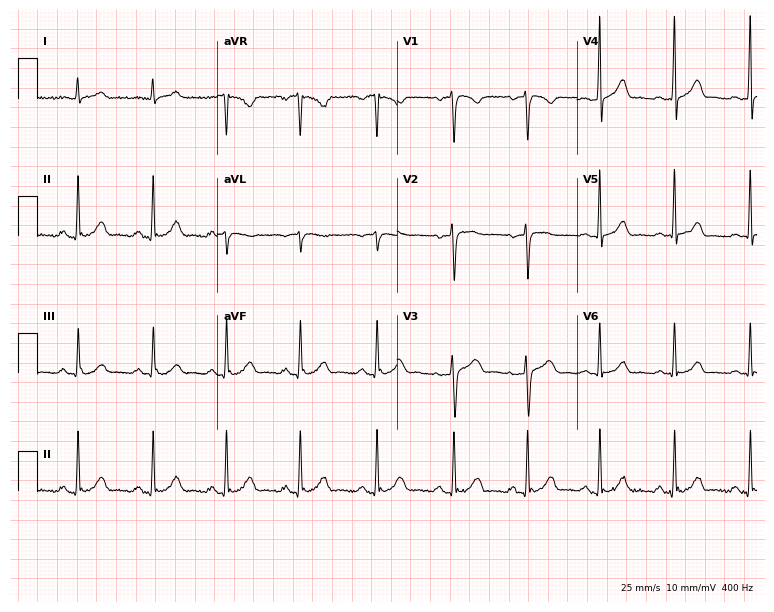
Resting 12-lead electrocardiogram. Patient: a woman, 30 years old. Read as a normal ECG.